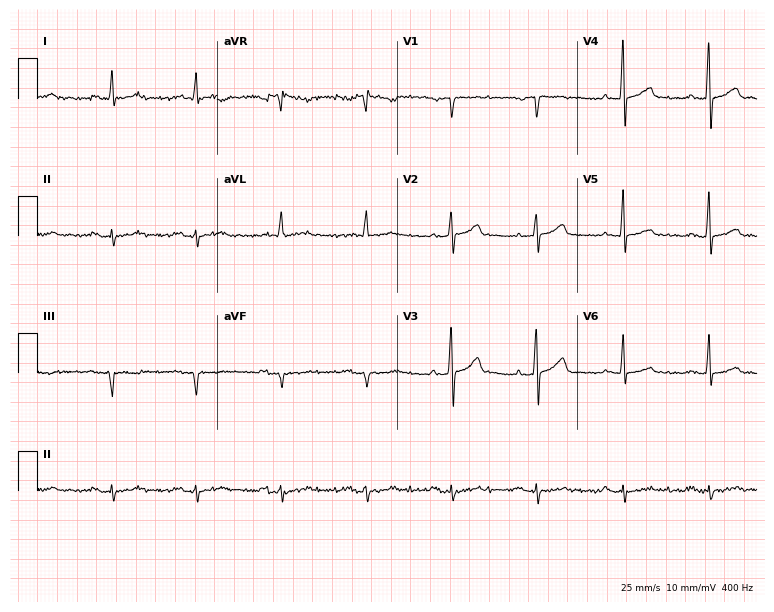
ECG (7.3-second recording at 400 Hz) — a male patient, 62 years old. Screened for six findings — first-degree AV block, right bundle branch block, left bundle branch block, sinus bradycardia, atrial fibrillation, sinus tachycardia — none is recorded. Findings outside these six are not listed.